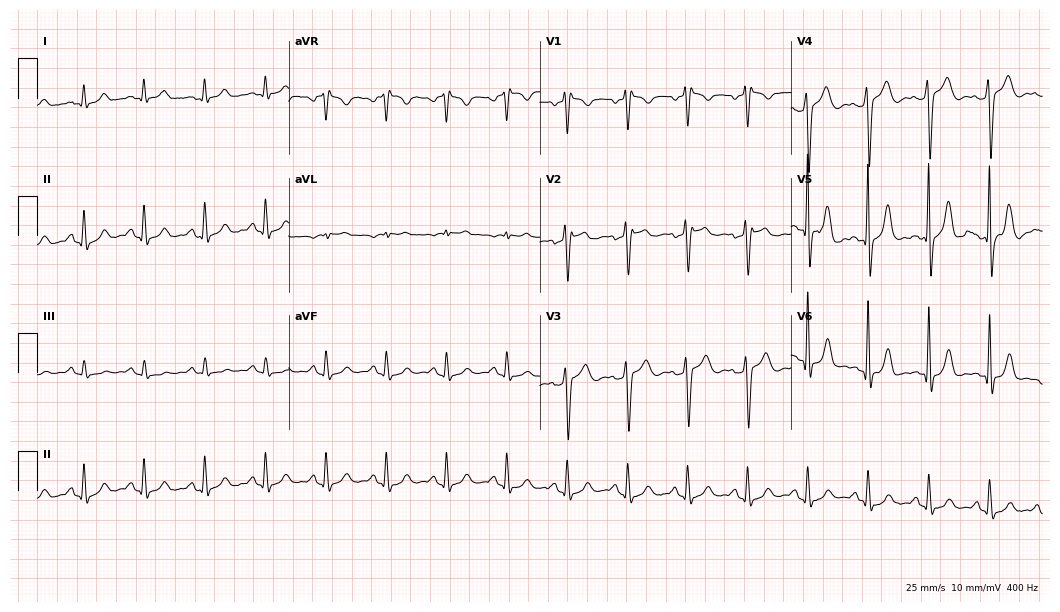
Standard 12-lead ECG recorded from a man, 43 years old. None of these six findings is recorded: first-degree AV block, right bundle branch block, left bundle branch block, sinus bradycardia, atrial fibrillation, sinus tachycardia. Other findings, if any, are not listed.